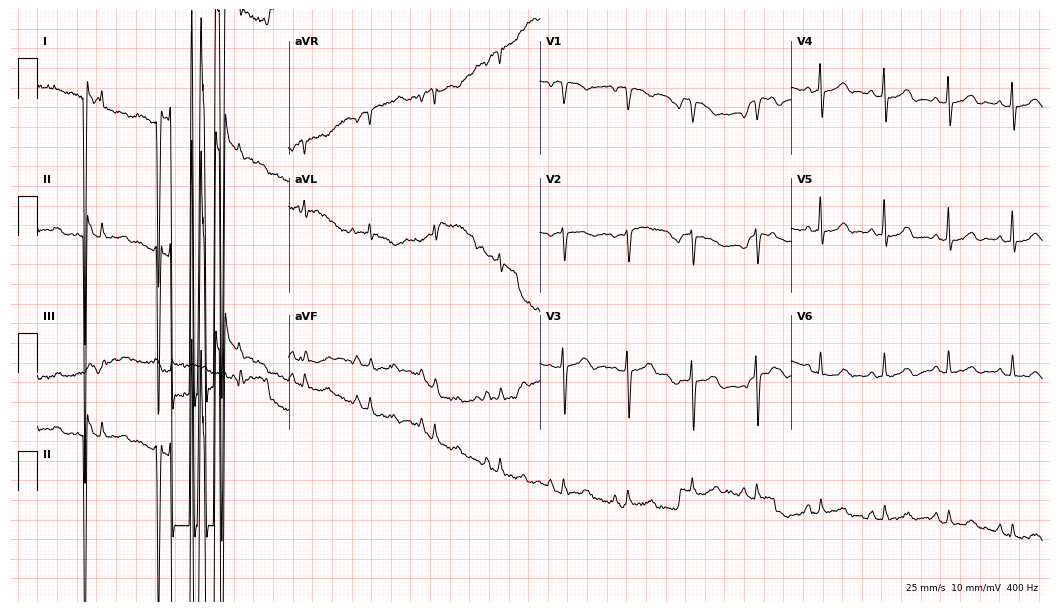
12-lead ECG from a 70-year-old woman (10.2-second recording at 400 Hz). No first-degree AV block, right bundle branch block (RBBB), left bundle branch block (LBBB), sinus bradycardia, atrial fibrillation (AF) or sinus tachycardia recorded for this tracing.